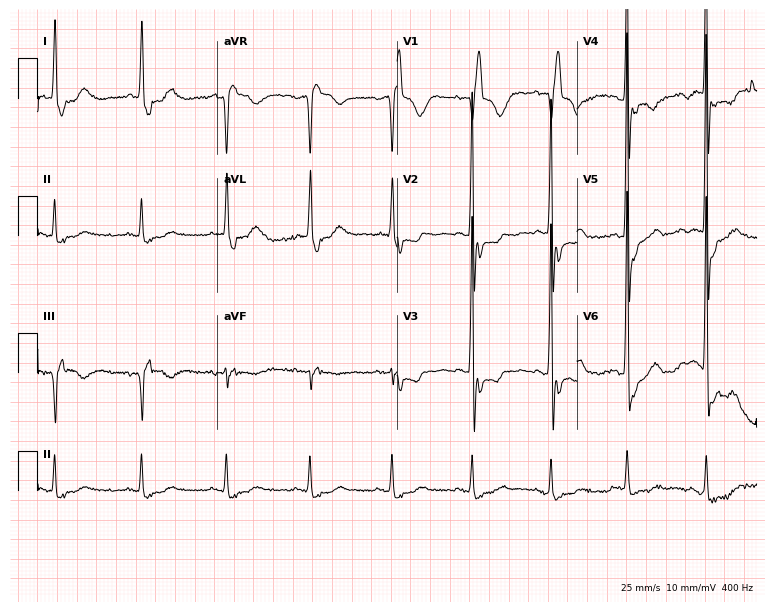
ECG — a female patient, 83 years old. Findings include right bundle branch block.